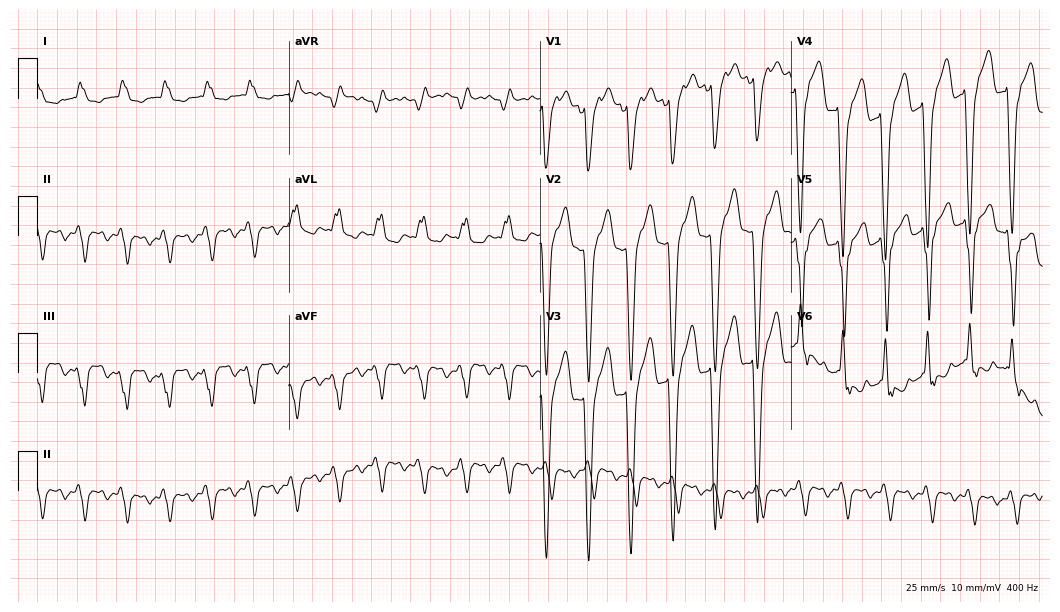
ECG (10.2-second recording at 400 Hz) — a 63-year-old male. Findings include left bundle branch block.